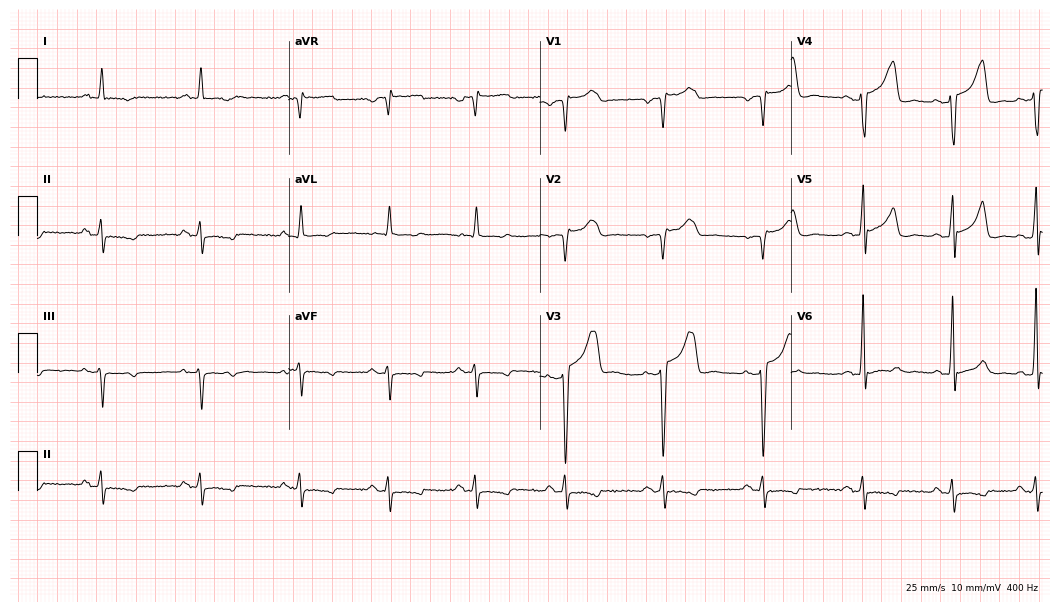
Standard 12-lead ECG recorded from a 54-year-old male. None of these six findings is recorded: first-degree AV block, right bundle branch block, left bundle branch block, sinus bradycardia, atrial fibrillation, sinus tachycardia. Findings outside these six are not listed.